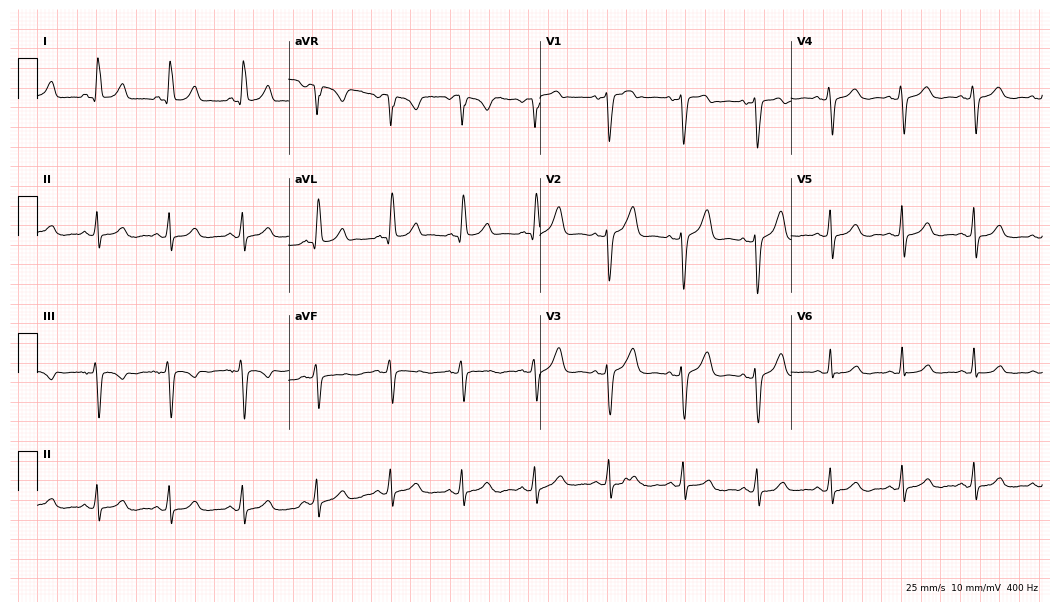
Standard 12-lead ECG recorded from a 60-year-old female patient. None of these six findings is recorded: first-degree AV block, right bundle branch block, left bundle branch block, sinus bradycardia, atrial fibrillation, sinus tachycardia. Findings outside these six are not listed.